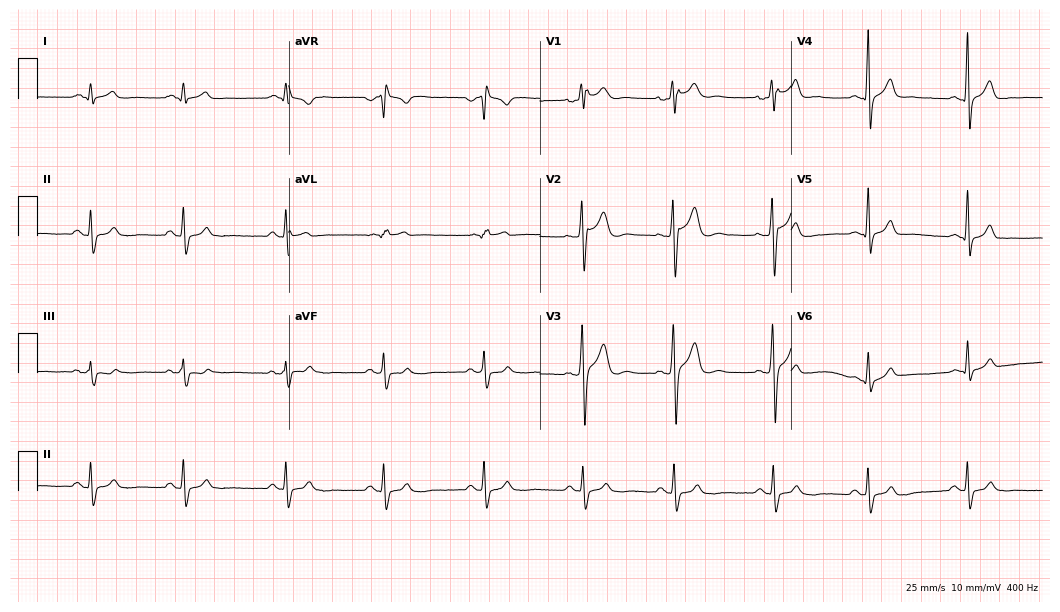
12-lead ECG (10.2-second recording at 400 Hz) from a 20-year-old male. Screened for six findings — first-degree AV block, right bundle branch block, left bundle branch block, sinus bradycardia, atrial fibrillation, sinus tachycardia — none is recorded.